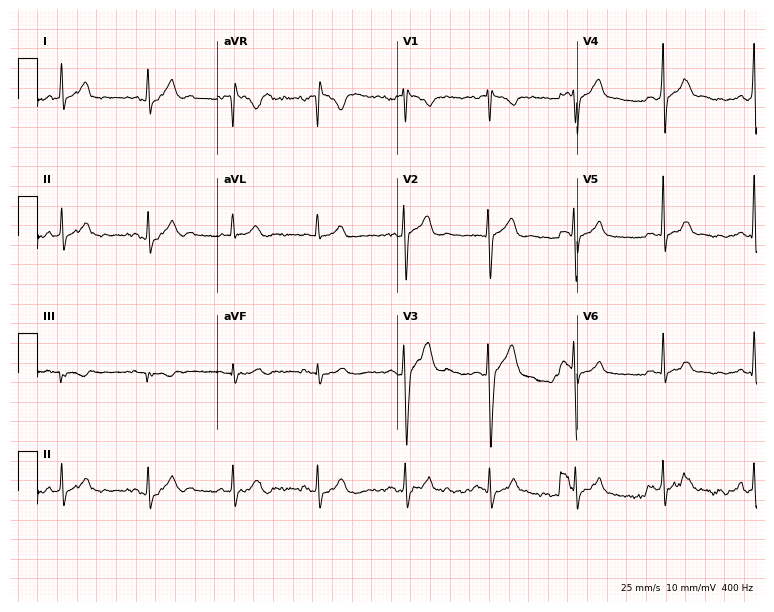
12-lead ECG from a male, 26 years old. Recorded interpretation: within normal limits.